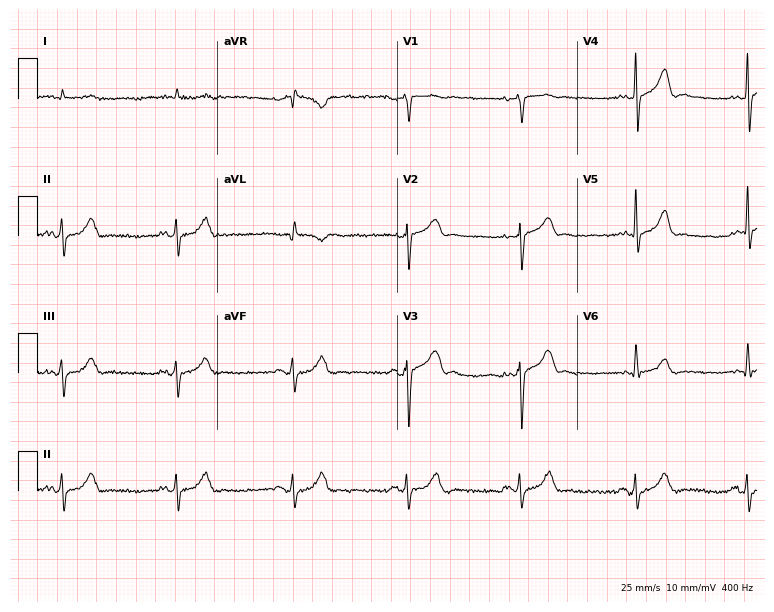
Electrocardiogram (7.3-second recording at 400 Hz), a man, 65 years old. Of the six screened findings (first-degree AV block, right bundle branch block, left bundle branch block, sinus bradycardia, atrial fibrillation, sinus tachycardia), none is recorded. Findings outside these six are not listed.